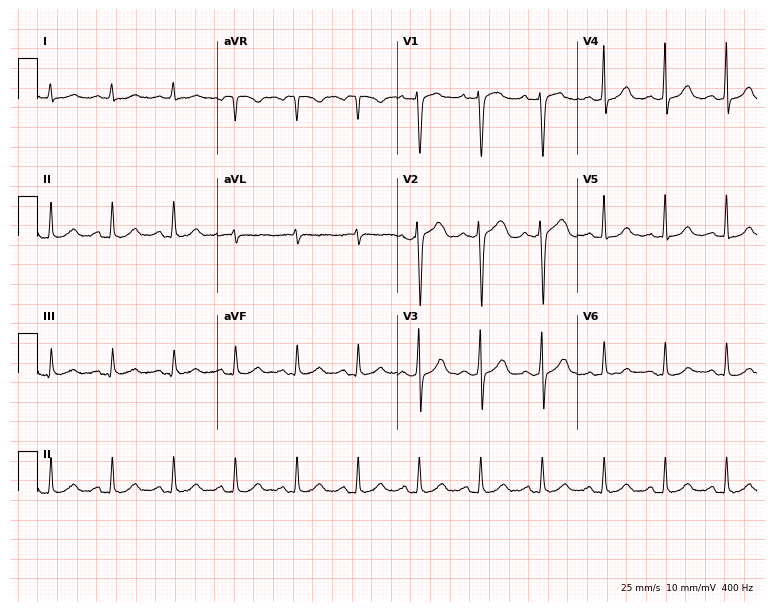
12-lead ECG from a female patient, 32 years old (7.3-second recording at 400 Hz). Recorded interpretation: within normal limits.